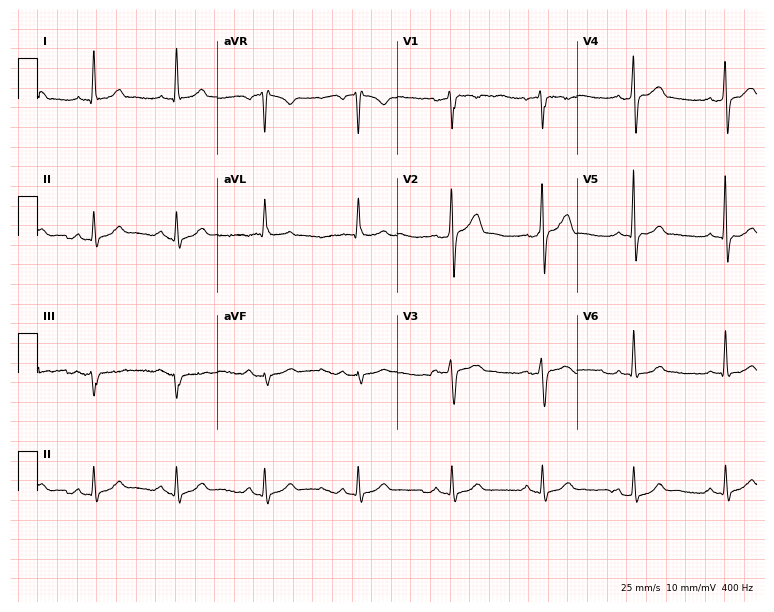
12-lead ECG from a 58-year-old man. Recorded interpretation: within normal limits.